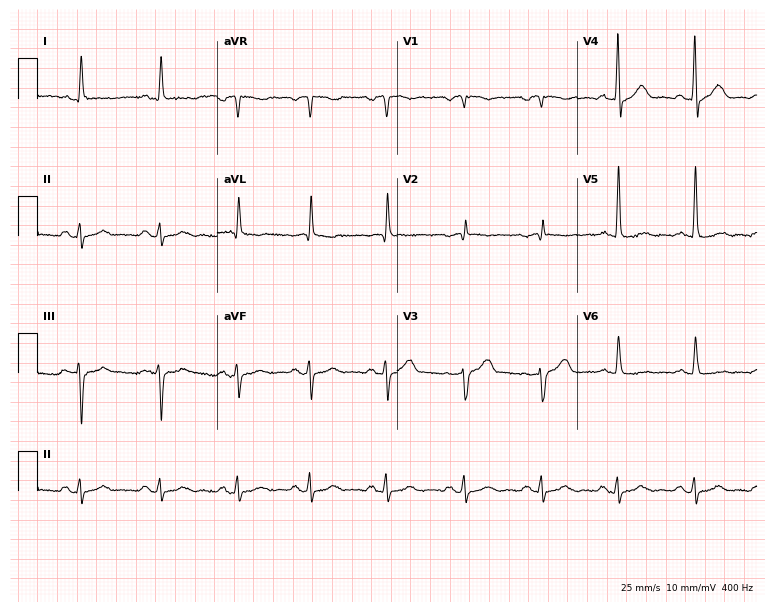
Standard 12-lead ECG recorded from a 75-year-old male patient. None of these six findings is recorded: first-degree AV block, right bundle branch block, left bundle branch block, sinus bradycardia, atrial fibrillation, sinus tachycardia.